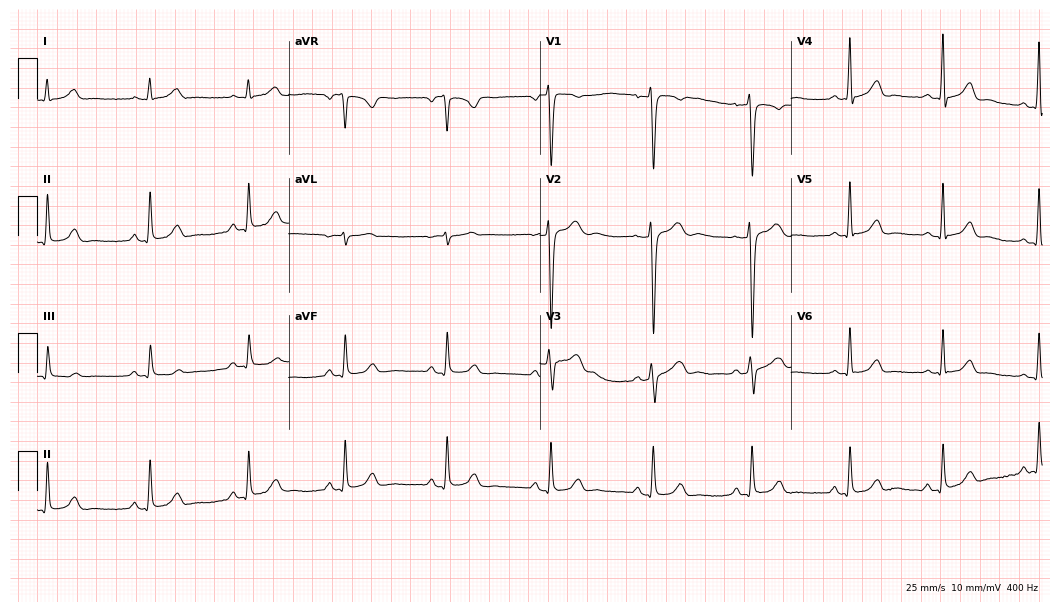
ECG — a female, 38 years old. Labelled as a normal ECG.